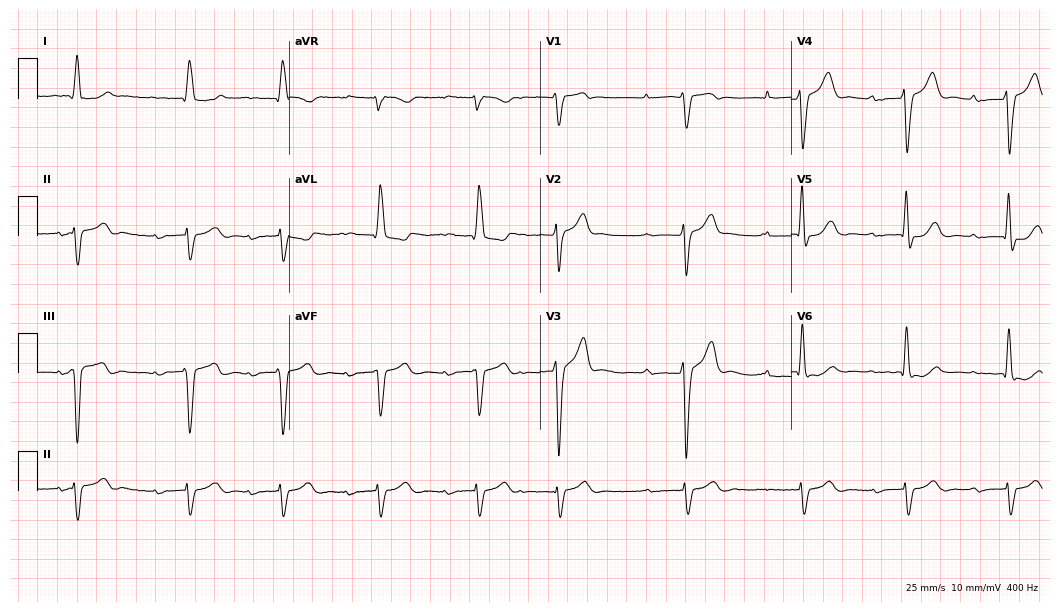
Resting 12-lead electrocardiogram (10.2-second recording at 400 Hz). Patient: an 84-year-old man. The tracing shows first-degree AV block.